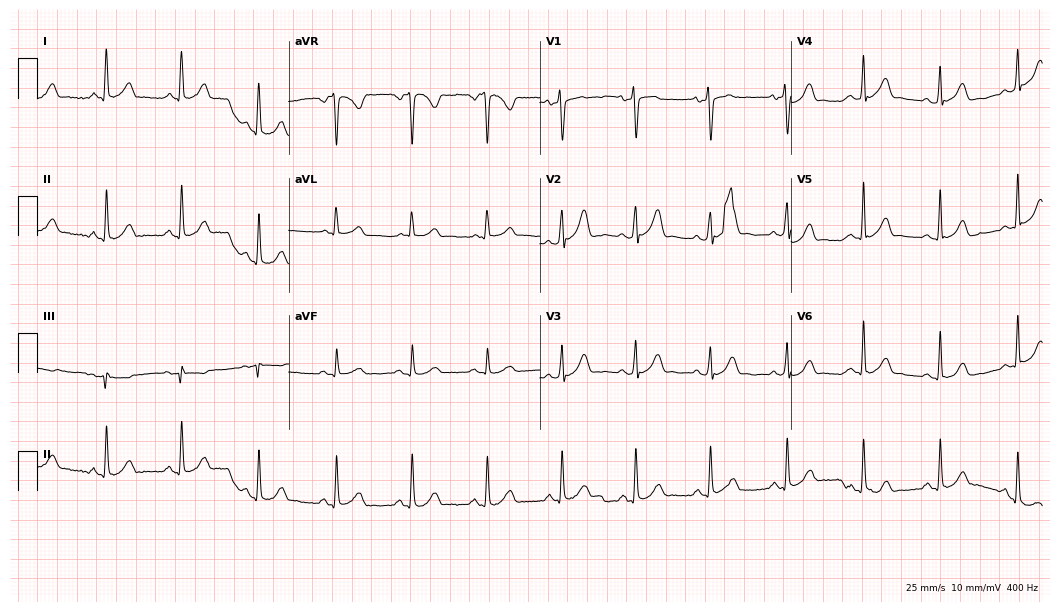
12-lead ECG from a 27-year-old male patient. Recorded interpretation: within normal limits.